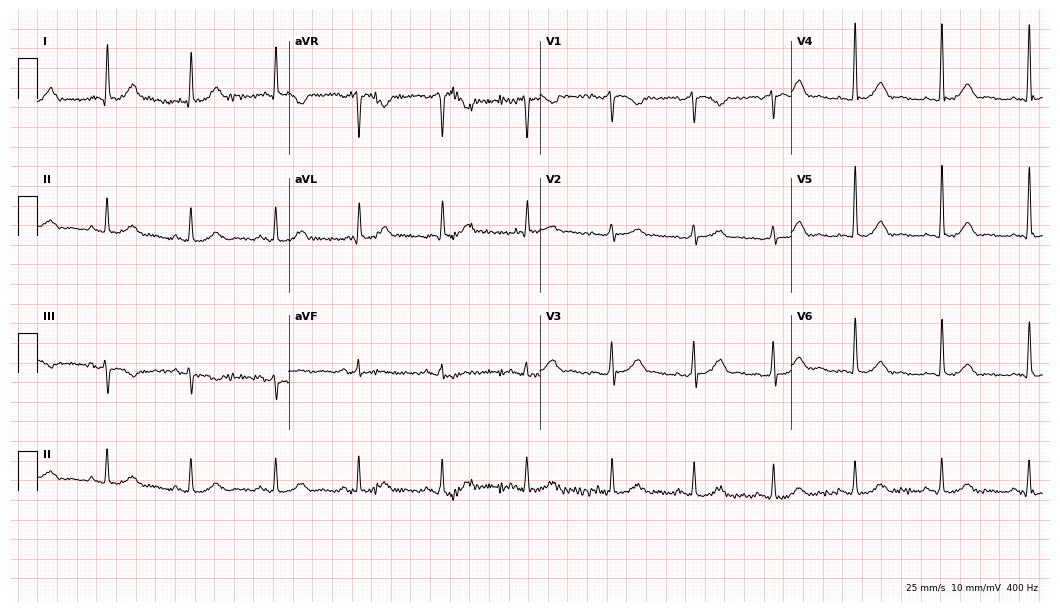
Resting 12-lead electrocardiogram (10.2-second recording at 400 Hz). Patient: a 68-year-old woman. Read as a normal ECG.